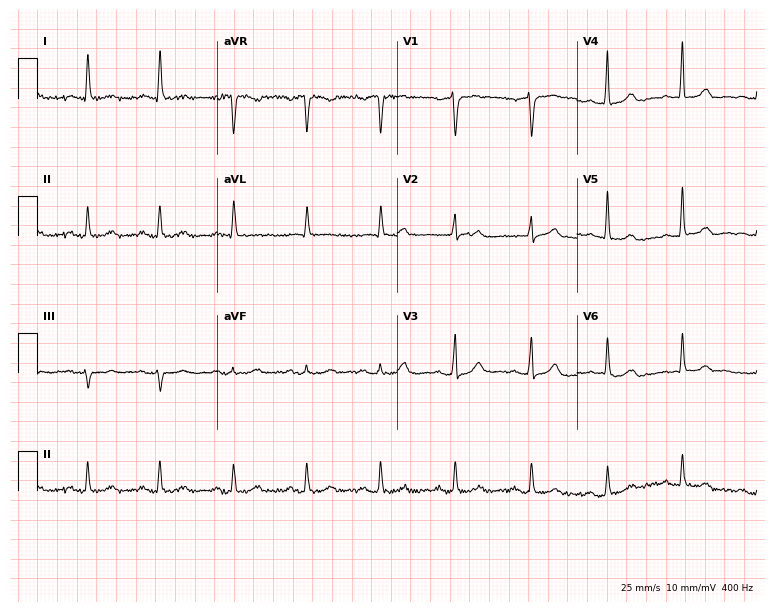
12-lead ECG from a 67-year-old woman. Labelled as a normal ECG.